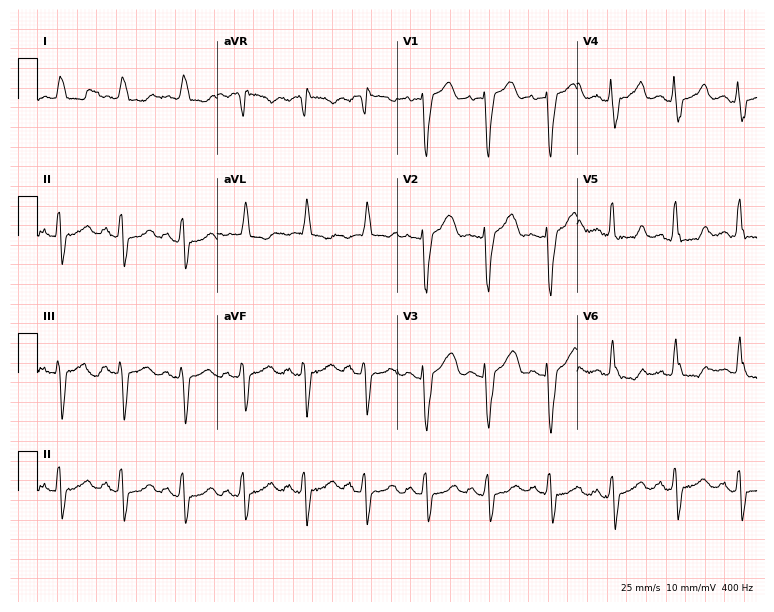
ECG — an 84-year-old female. Findings include left bundle branch block.